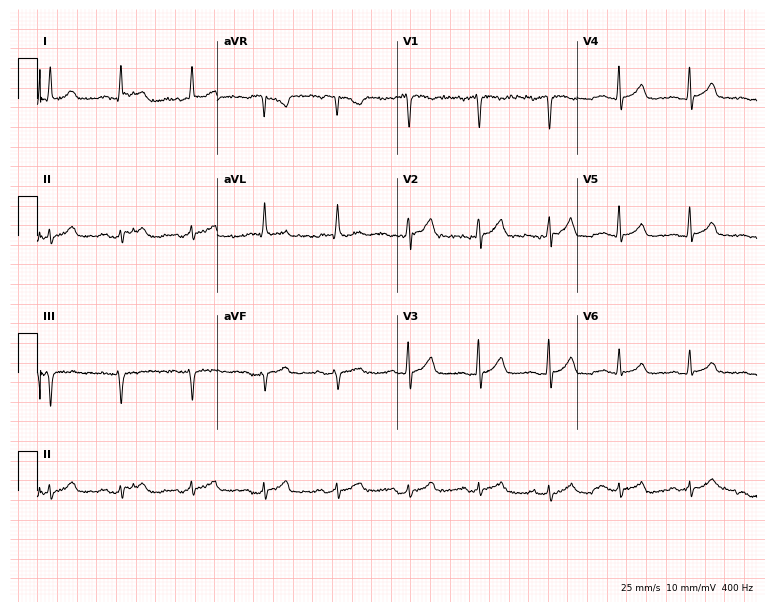
Resting 12-lead electrocardiogram. Patient: a male, 70 years old. Read as a normal ECG.